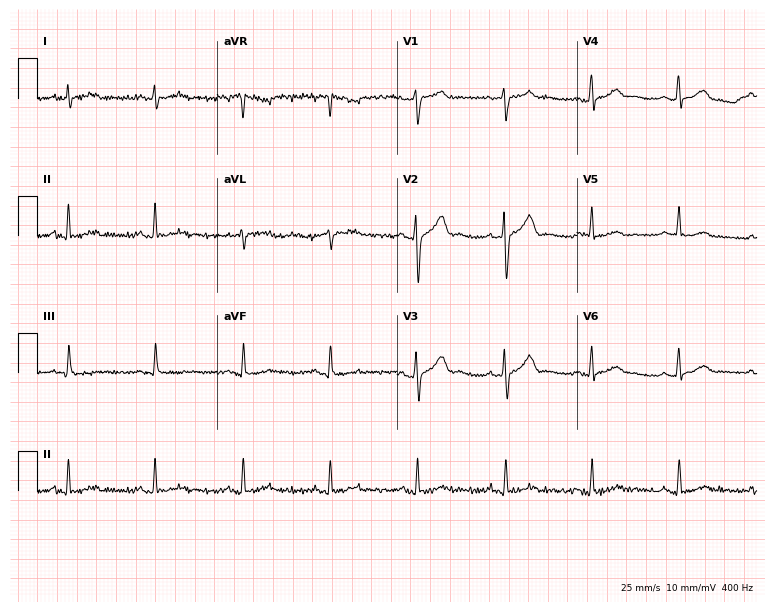
12-lead ECG from a man, 55 years old. Screened for six findings — first-degree AV block, right bundle branch block, left bundle branch block, sinus bradycardia, atrial fibrillation, sinus tachycardia — none is recorded. Only these six findings were labelled.